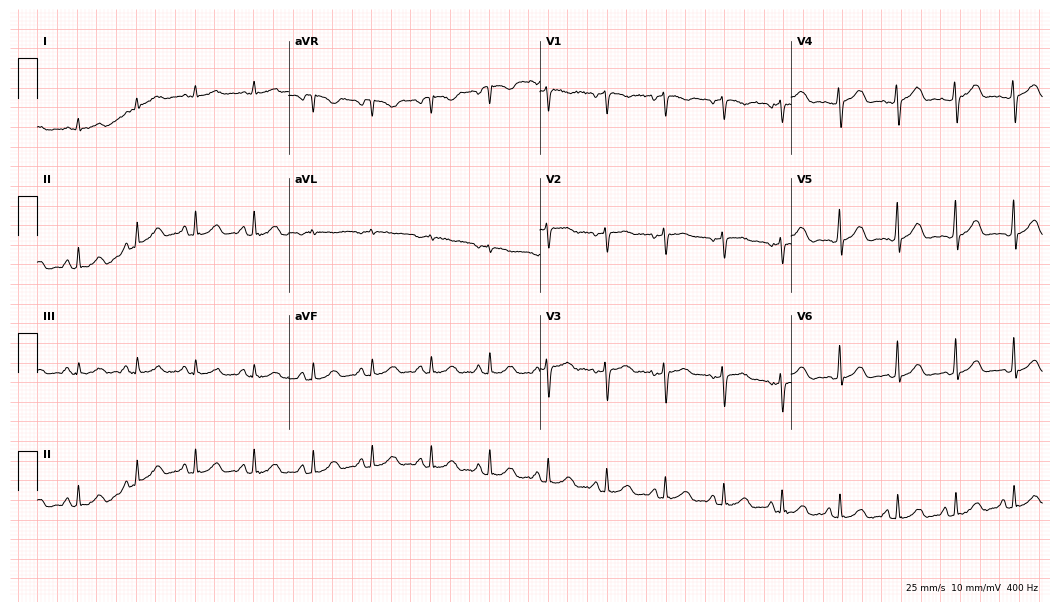
12-lead ECG from a female, 57 years old (10.2-second recording at 400 Hz). Shows sinus tachycardia (a sinus rate of 100 beats per minute or more).